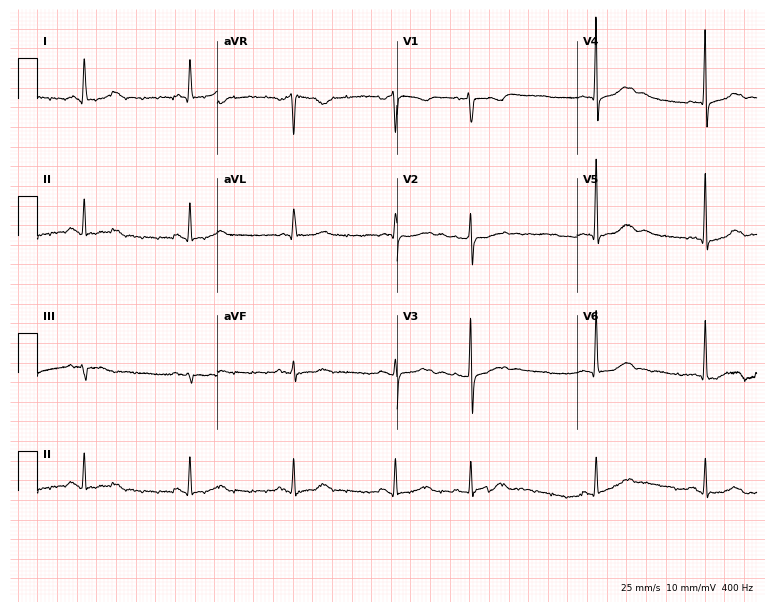
12-lead ECG from an 80-year-old female patient. No first-degree AV block, right bundle branch block (RBBB), left bundle branch block (LBBB), sinus bradycardia, atrial fibrillation (AF) or sinus tachycardia recorded for this tracing.